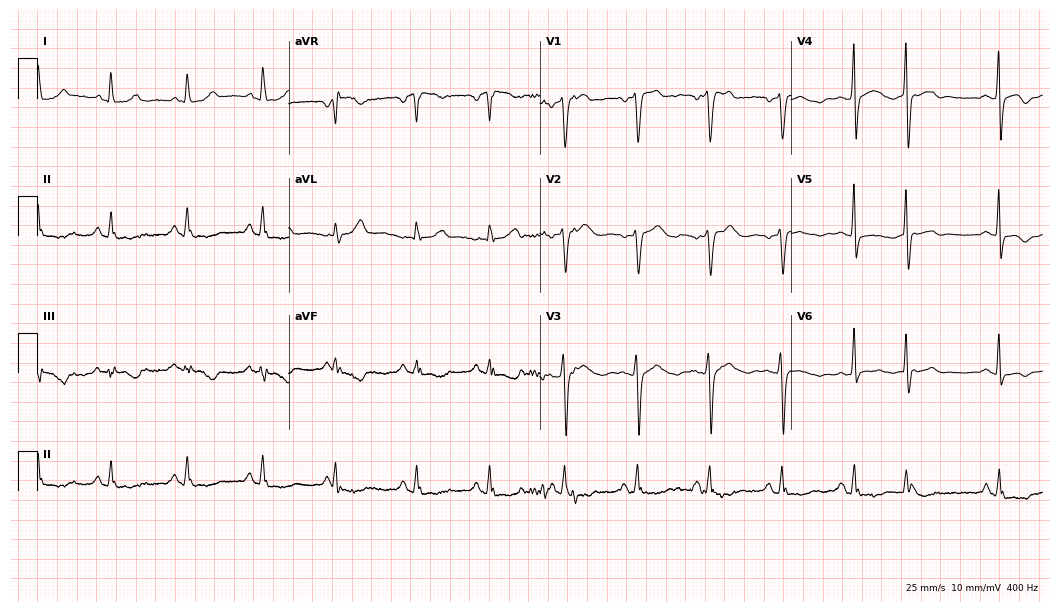
12-lead ECG (10.2-second recording at 400 Hz) from a 57-year-old female. Screened for six findings — first-degree AV block, right bundle branch block, left bundle branch block, sinus bradycardia, atrial fibrillation, sinus tachycardia — none is recorded.